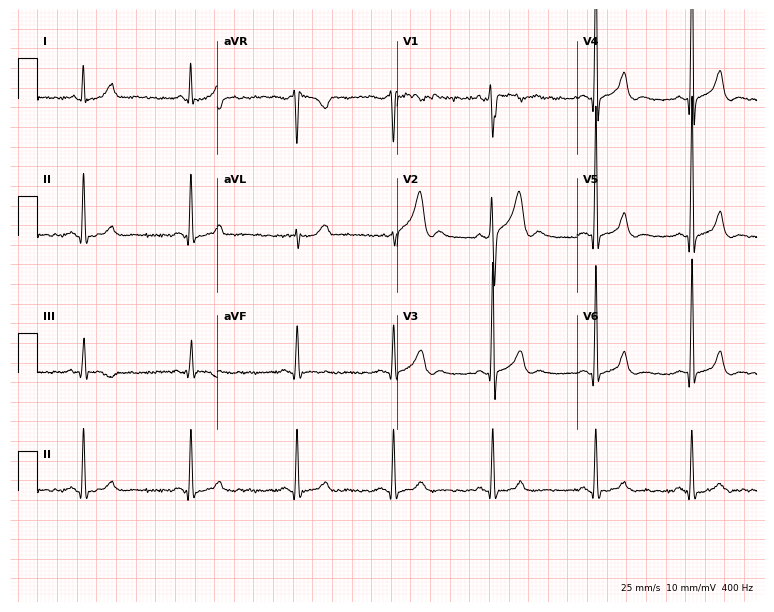
Standard 12-lead ECG recorded from a man, 31 years old. Read as a normal ECG.